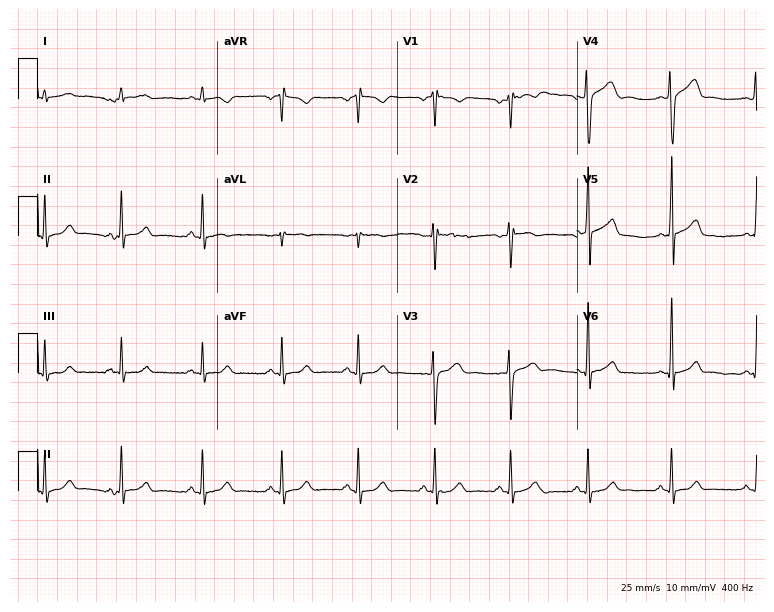
Standard 12-lead ECG recorded from a man, 24 years old. Read as a normal ECG.